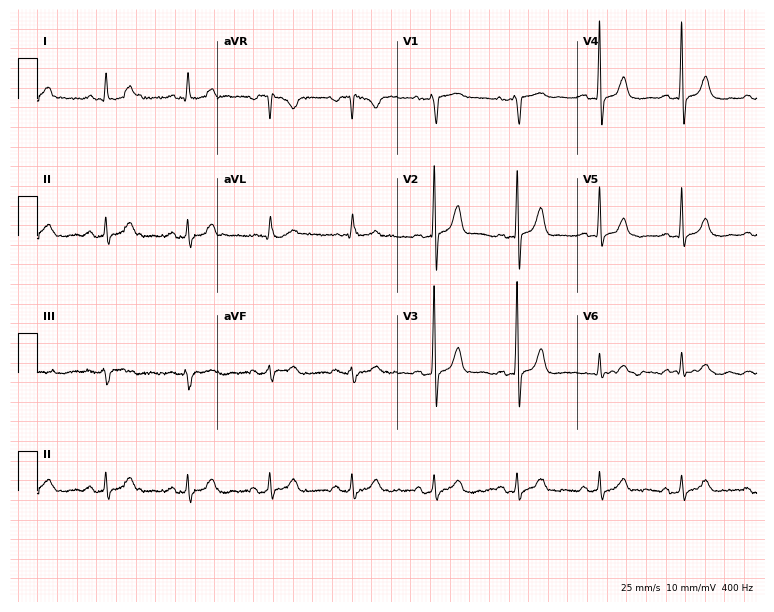
Resting 12-lead electrocardiogram (7.3-second recording at 400 Hz). Patient: a male, 72 years old. None of these six findings is recorded: first-degree AV block, right bundle branch block, left bundle branch block, sinus bradycardia, atrial fibrillation, sinus tachycardia. Only these six findings were labelled.